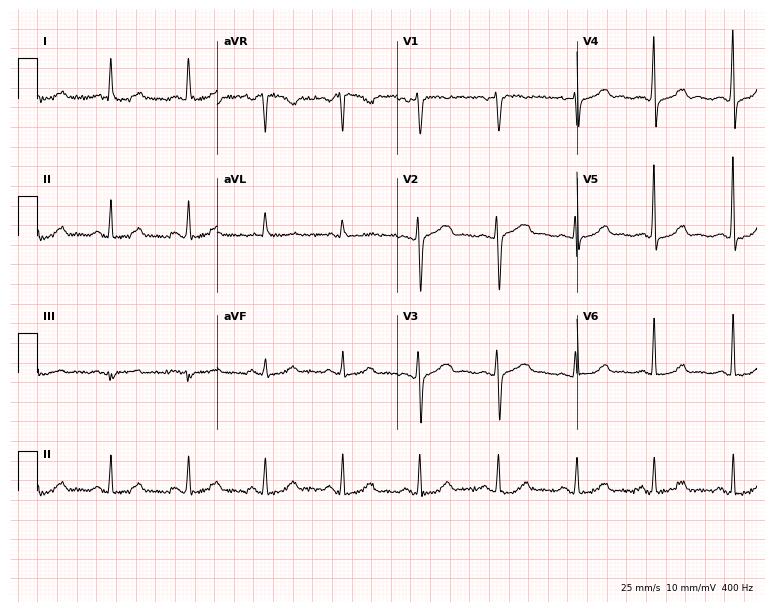
Electrocardiogram (7.3-second recording at 400 Hz), a woman, 57 years old. Of the six screened findings (first-degree AV block, right bundle branch block, left bundle branch block, sinus bradycardia, atrial fibrillation, sinus tachycardia), none is recorded. Findings outside these six are not listed.